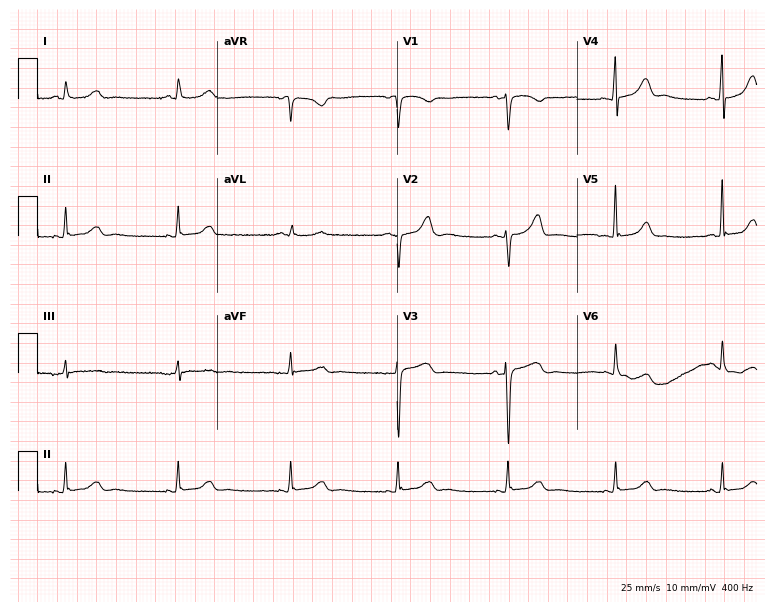
Resting 12-lead electrocardiogram (7.3-second recording at 400 Hz). Patient: a 71-year-old female. Read as a normal ECG.